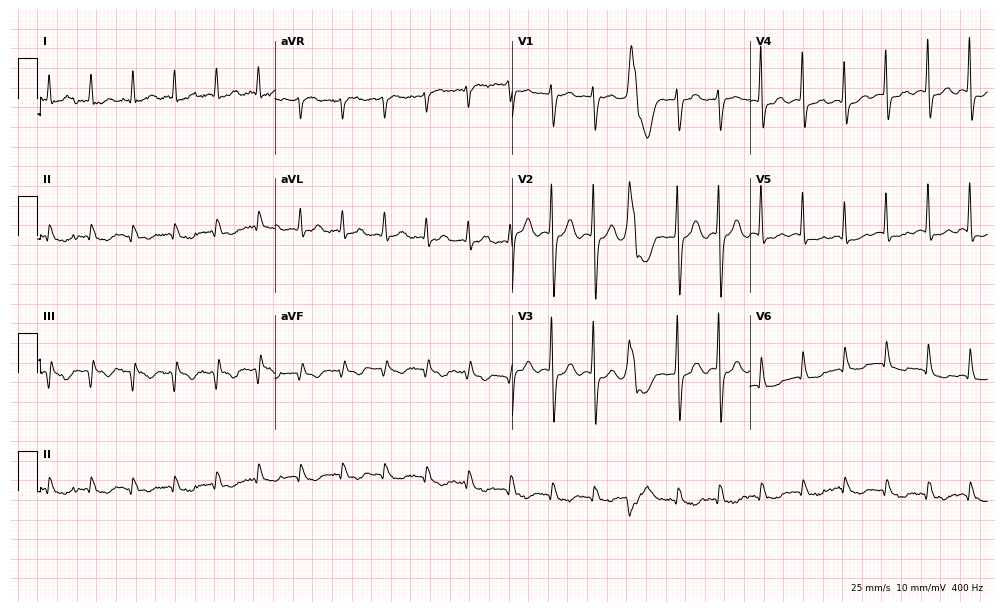
Standard 12-lead ECG recorded from a 76-year-old woman. None of these six findings is recorded: first-degree AV block, right bundle branch block (RBBB), left bundle branch block (LBBB), sinus bradycardia, atrial fibrillation (AF), sinus tachycardia. Findings outside these six are not listed.